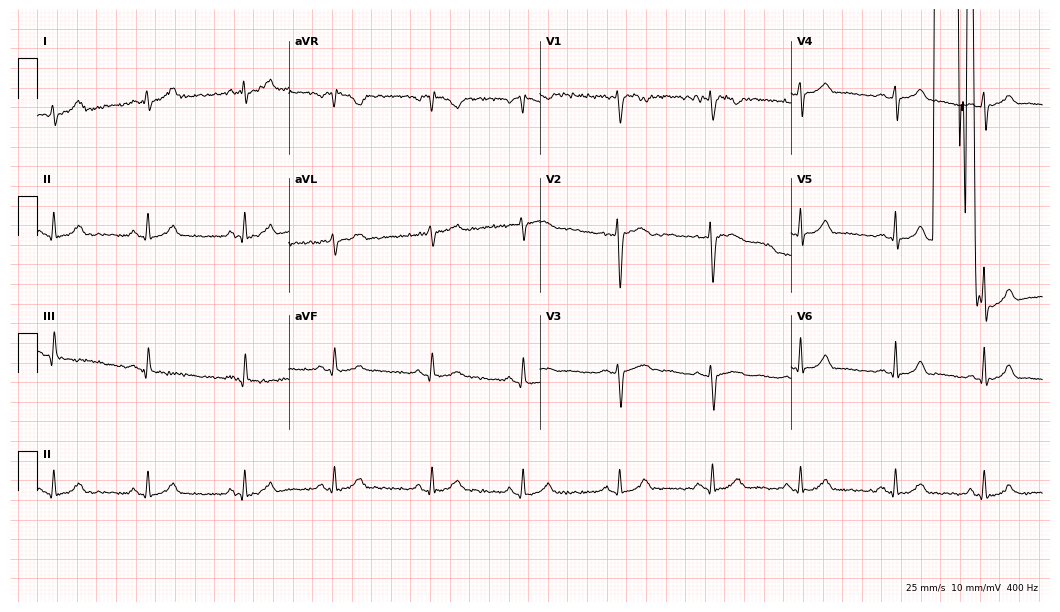
ECG (10.2-second recording at 400 Hz) — a woman, 31 years old. Labelled as a normal ECG.